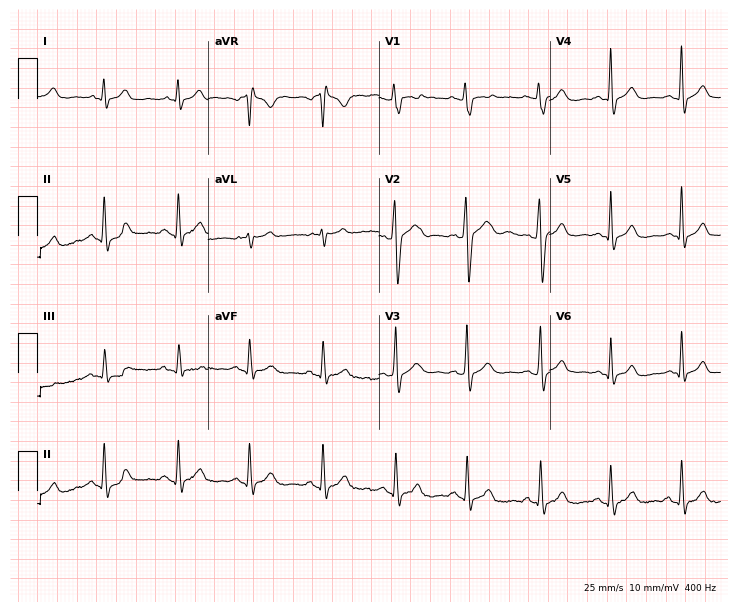
Electrocardiogram (7-second recording at 400 Hz), an 18-year-old male patient. Of the six screened findings (first-degree AV block, right bundle branch block, left bundle branch block, sinus bradycardia, atrial fibrillation, sinus tachycardia), none is recorded. Findings outside these six are not listed.